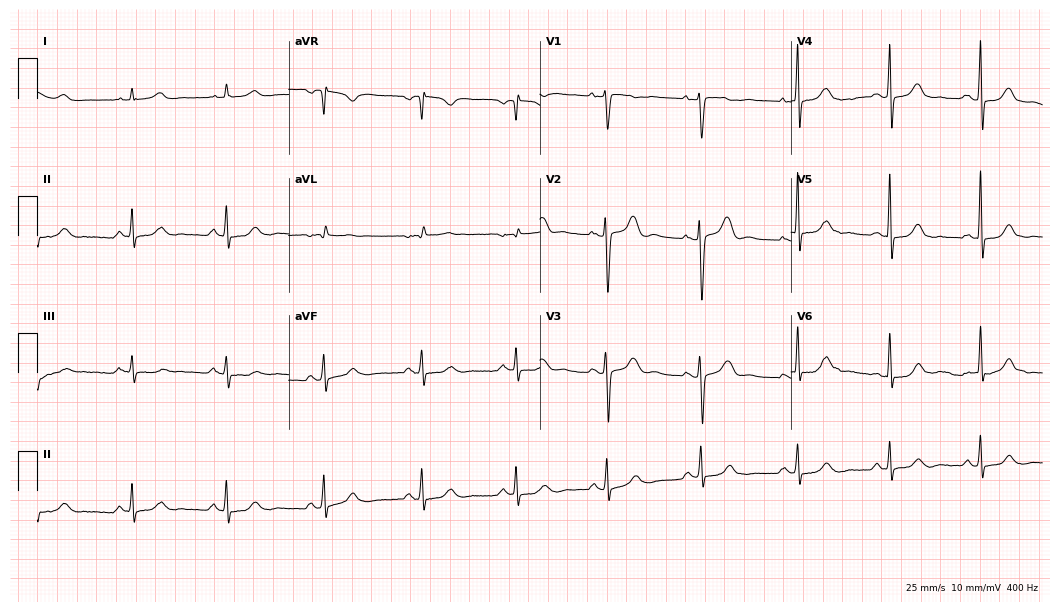
Resting 12-lead electrocardiogram. Patient: a female, 52 years old. None of these six findings is recorded: first-degree AV block, right bundle branch block (RBBB), left bundle branch block (LBBB), sinus bradycardia, atrial fibrillation (AF), sinus tachycardia. Findings outside these six are not listed.